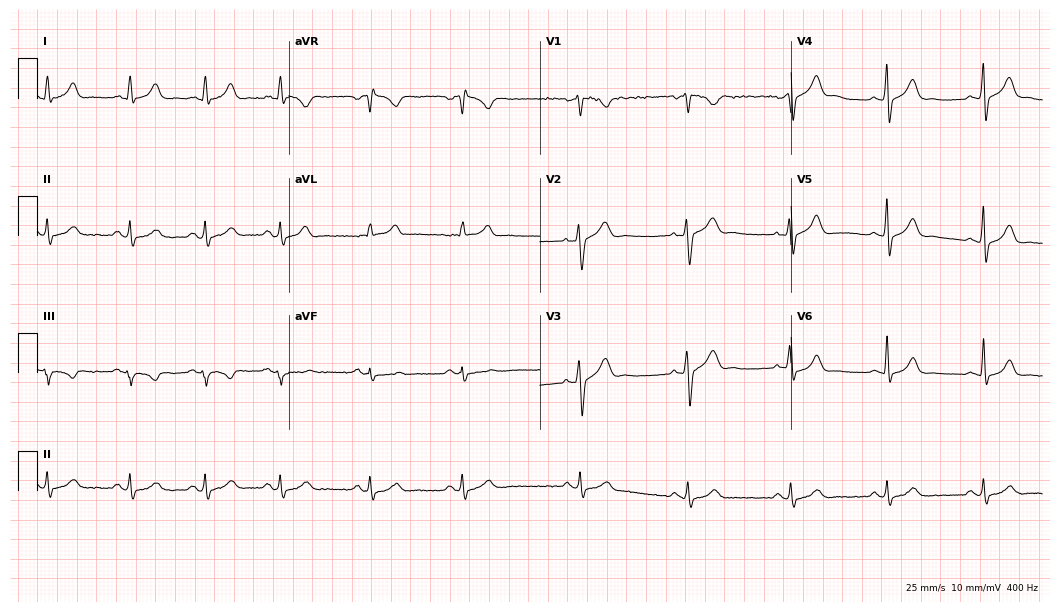
12-lead ECG from a man, 31 years old. No first-degree AV block, right bundle branch block, left bundle branch block, sinus bradycardia, atrial fibrillation or sinus tachycardia recorded for this tracing. Only these six findings were labelled.